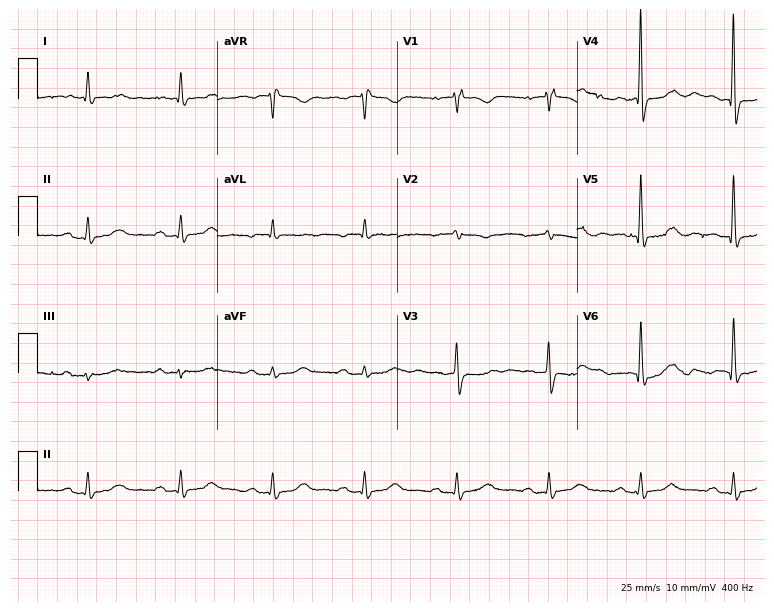
Resting 12-lead electrocardiogram (7.3-second recording at 400 Hz). Patient: a female, 77 years old. None of these six findings is recorded: first-degree AV block, right bundle branch block, left bundle branch block, sinus bradycardia, atrial fibrillation, sinus tachycardia. Other findings, if any, are not listed.